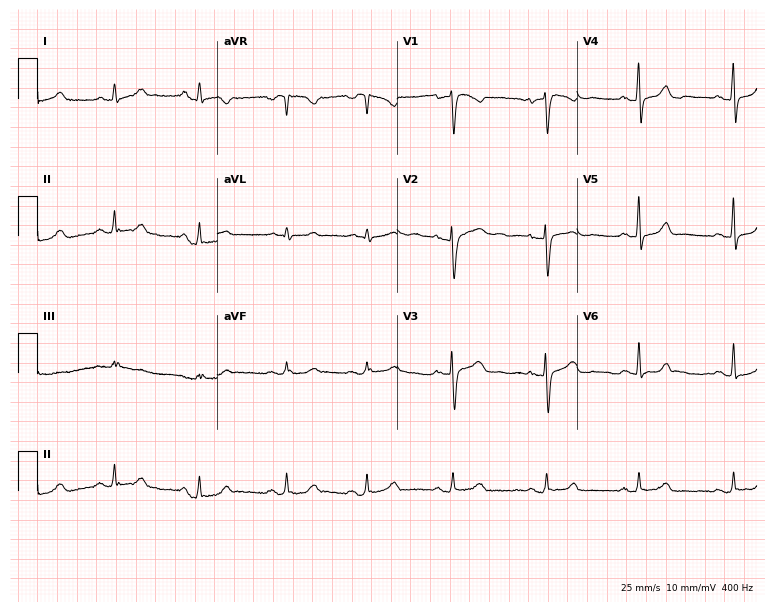
12-lead ECG (7.3-second recording at 400 Hz) from a 55-year-old female patient. Screened for six findings — first-degree AV block, right bundle branch block, left bundle branch block, sinus bradycardia, atrial fibrillation, sinus tachycardia — none is recorded.